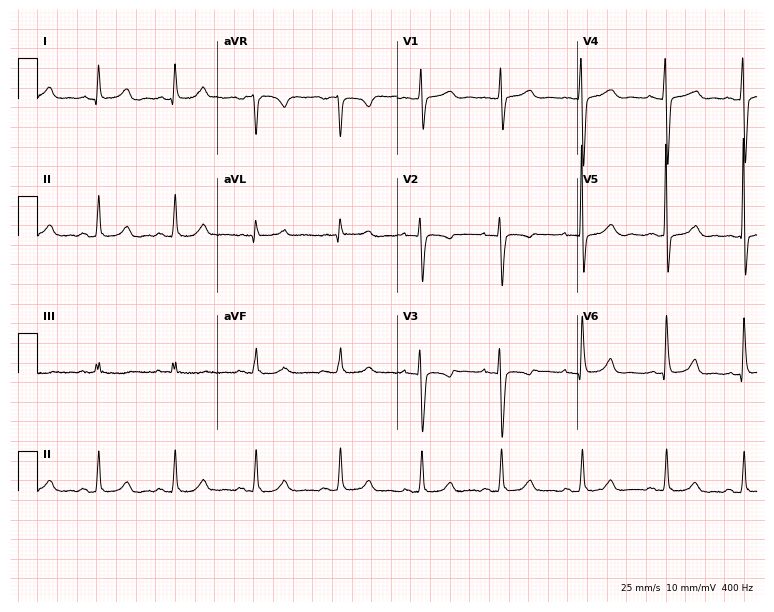
12-lead ECG from a woman, 29 years old. No first-degree AV block, right bundle branch block, left bundle branch block, sinus bradycardia, atrial fibrillation or sinus tachycardia recorded for this tracing.